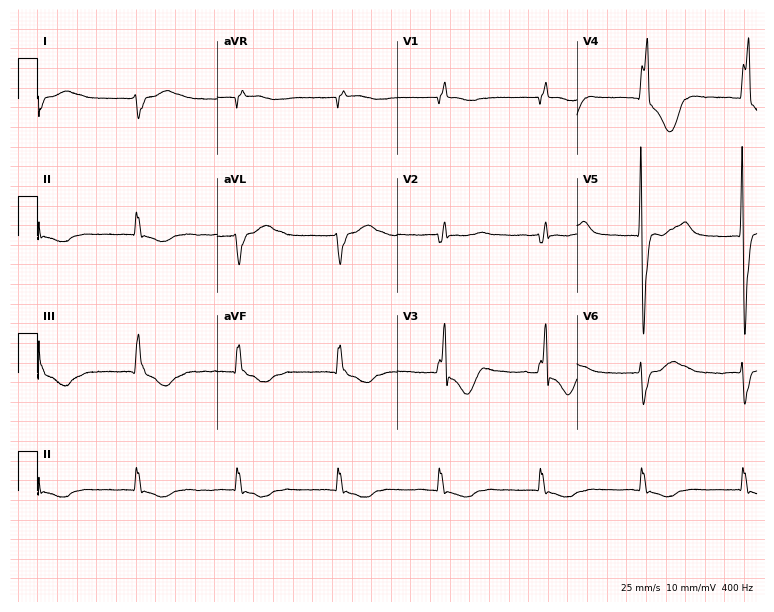
12-lead ECG from an 84-year-old female patient (7.3-second recording at 400 Hz). No first-degree AV block, right bundle branch block, left bundle branch block, sinus bradycardia, atrial fibrillation or sinus tachycardia recorded for this tracing. Other findings, if any, are not listed.